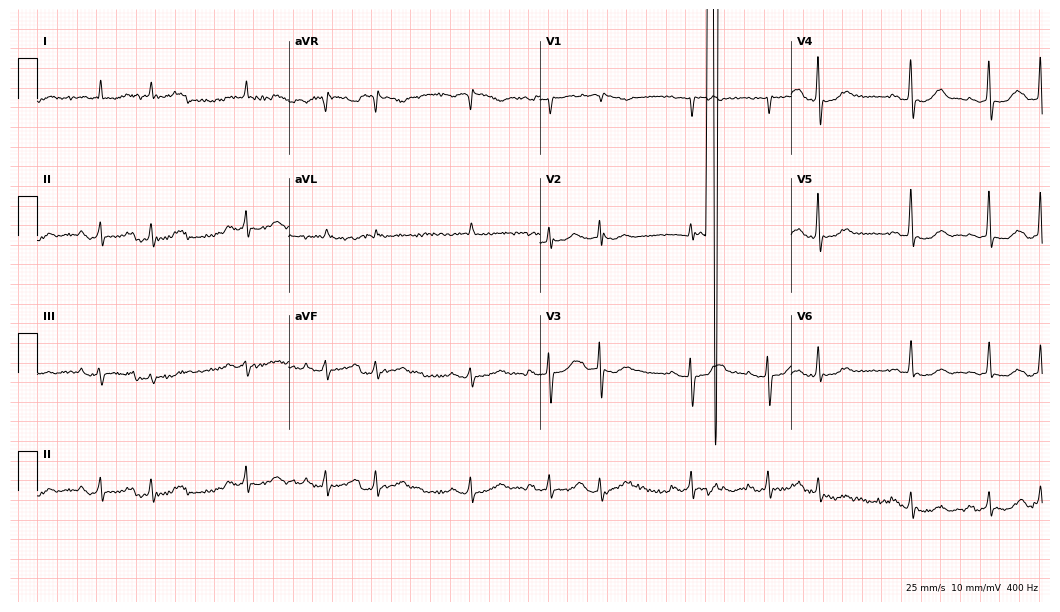
12-lead ECG from an 80-year-old female patient (10.2-second recording at 400 Hz). No first-degree AV block, right bundle branch block (RBBB), left bundle branch block (LBBB), sinus bradycardia, atrial fibrillation (AF) or sinus tachycardia recorded for this tracing.